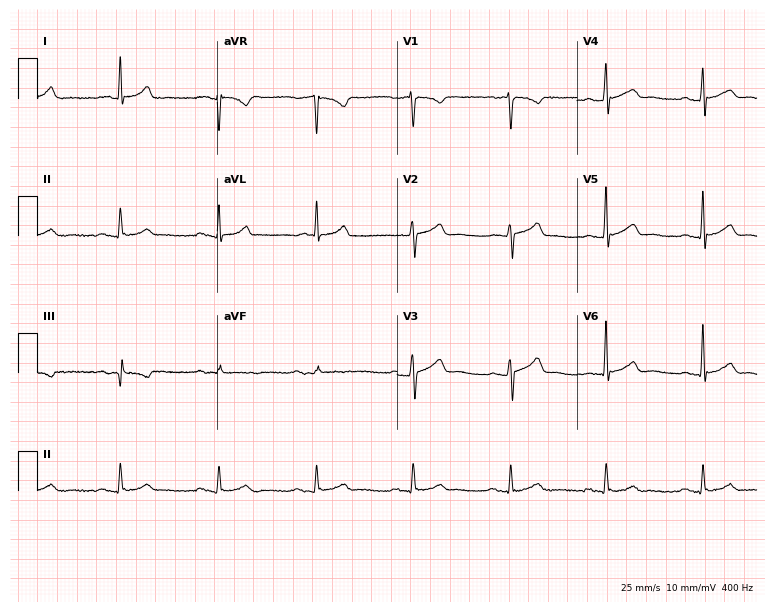
ECG (7.3-second recording at 400 Hz) — a male, 67 years old. Labelled as a normal ECG.